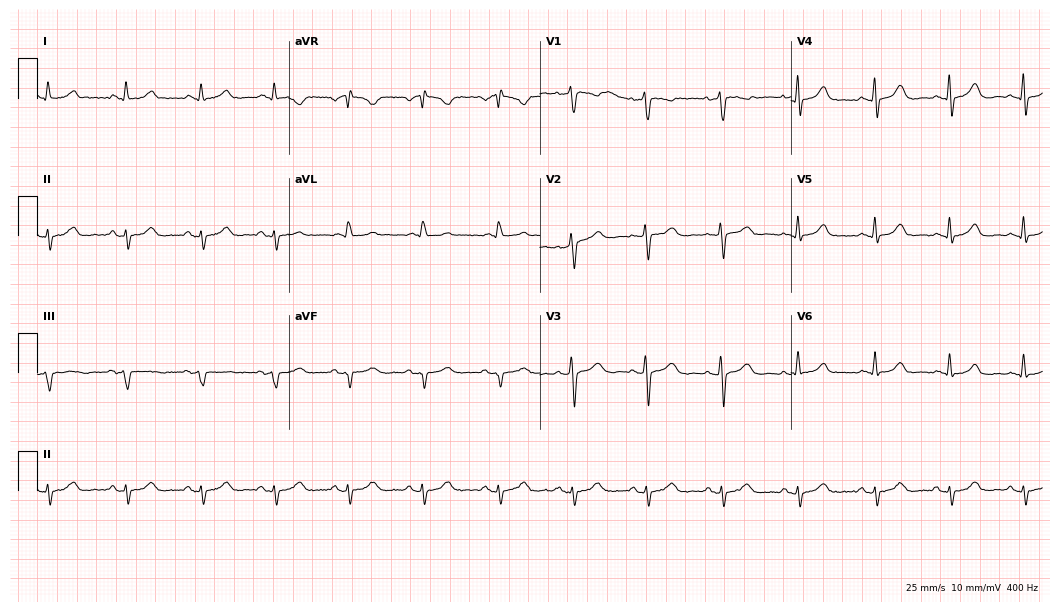
Electrocardiogram (10.2-second recording at 400 Hz), a female, 58 years old. Of the six screened findings (first-degree AV block, right bundle branch block, left bundle branch block, sinus bradycardia, atrial fibrillation, sinus tachycardia), none is recorded. Only these six findings were labelled.